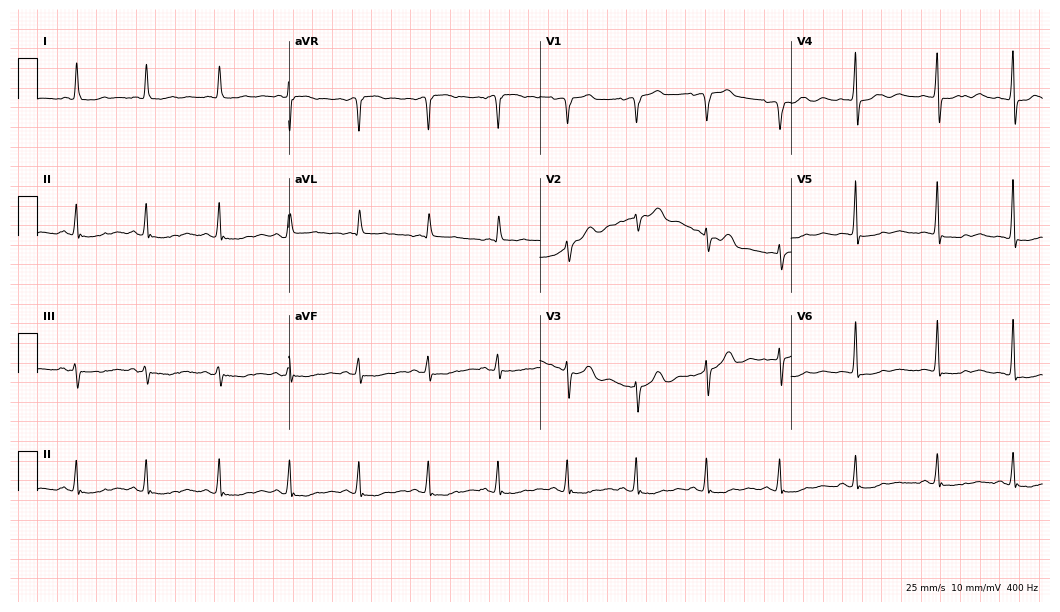
Standard 12-lead ECG recorded from a female patient, 74 years old. None of these six findings is recorded: first-degree AV block, right bundle branch block (RBBB), left bundle branch block (LBBB), sinus bradycardia, atrial fibrillation (AF), sinus tachycardia.